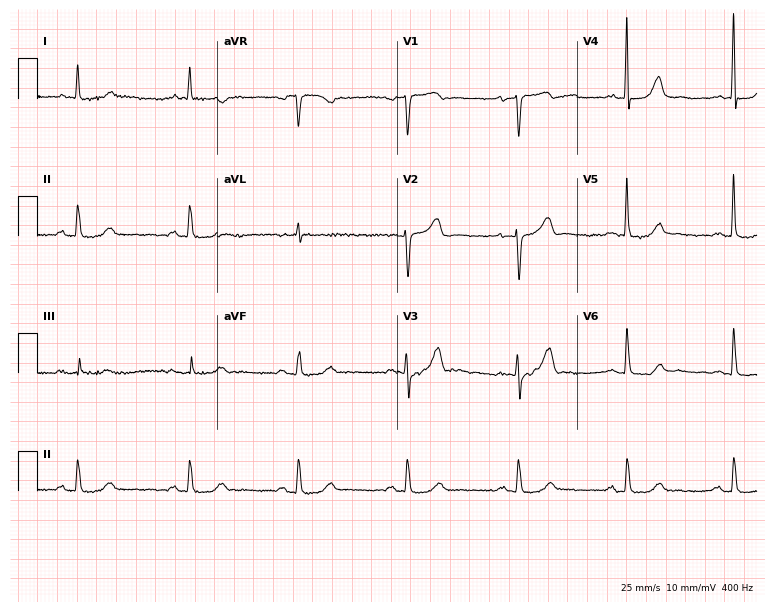
Standard 12-lead ECG recorded from a female patient, 73 years old. None of these six findings is recorded: first-degree AV block, right bundle branch block, left bundle branch block, sinus bradycardia, atrial fibrillation, sinus tachycardia.